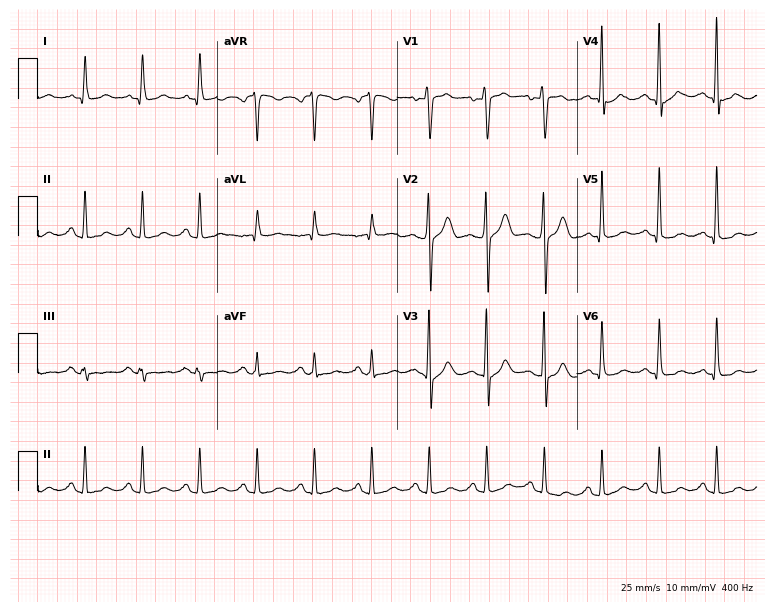
12-lead ECG (7.3-second recording at 400 Hz) from a male, 43 years old. Findings include sinus tachycardia (a sinus rate of 100 beats per minute or more).